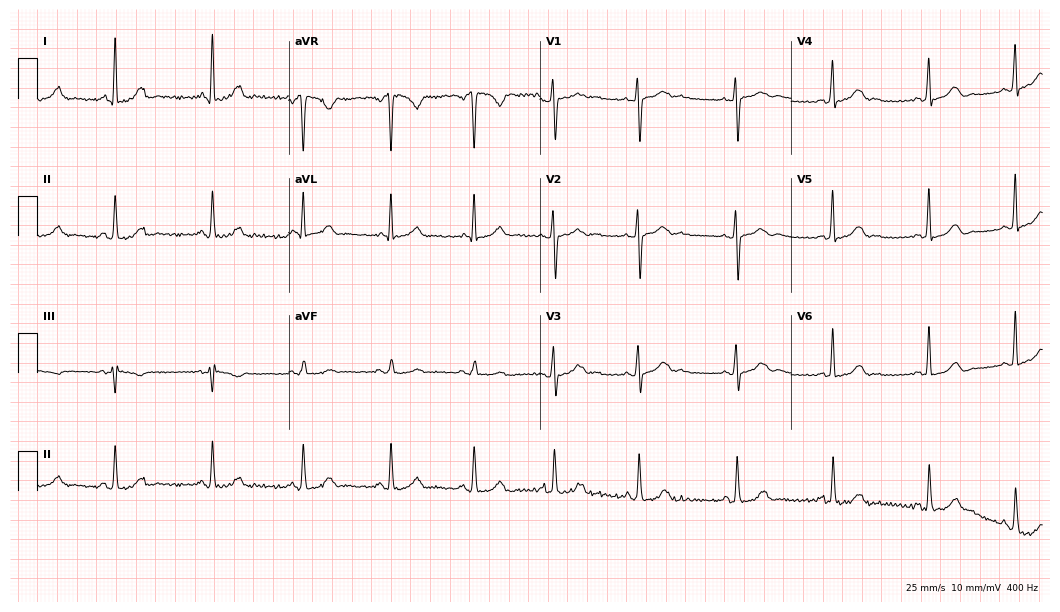
Electrocardiogram (10.2-second recording at 400 Hz), a female patient, 42 years old. Overall reading on record: normal ECG.